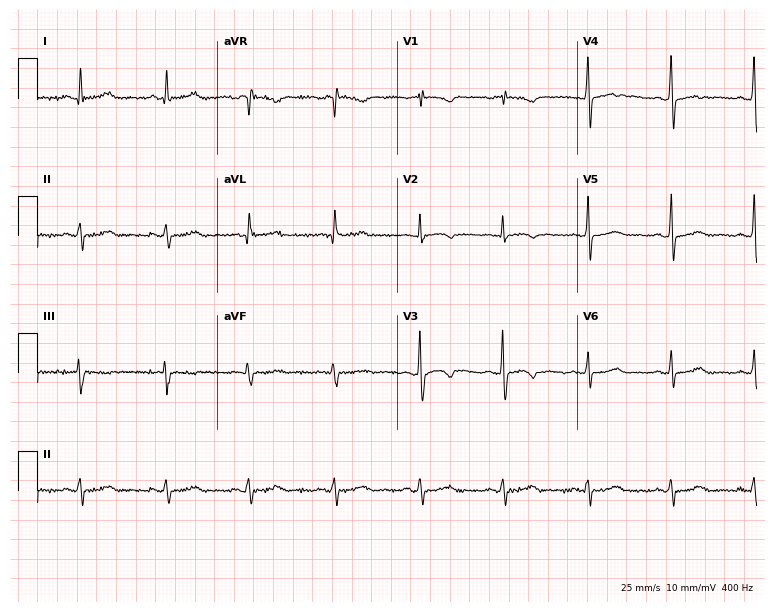
Electrocardiogram, a 34-year-old female. Of the six screened findings (first-degree AV block, right bundle branch block, left bundle branch block, sinus bradycardia, atrial fibrillation, sinus tachycardia), none is recorded.